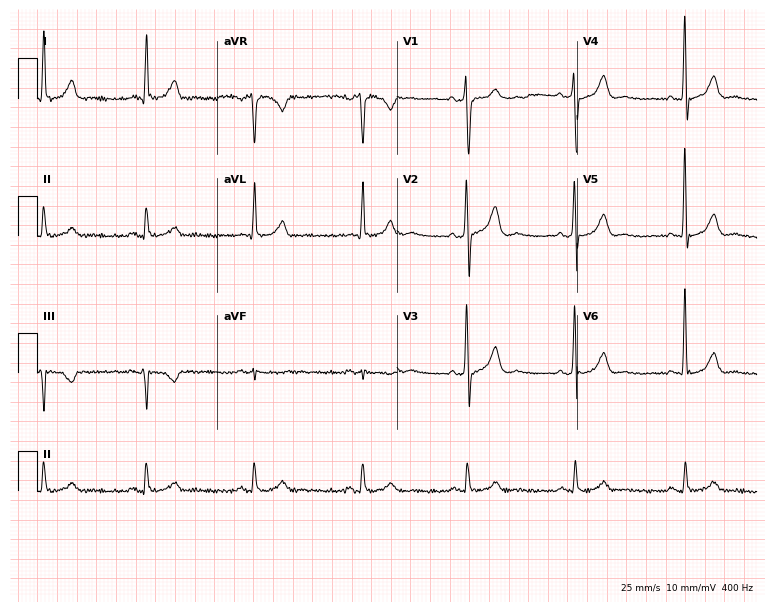
Electrocardiogram (7.3-second recording at 400 Hz), a 51-year-old male patient. Overall reading on record: normal ECG.